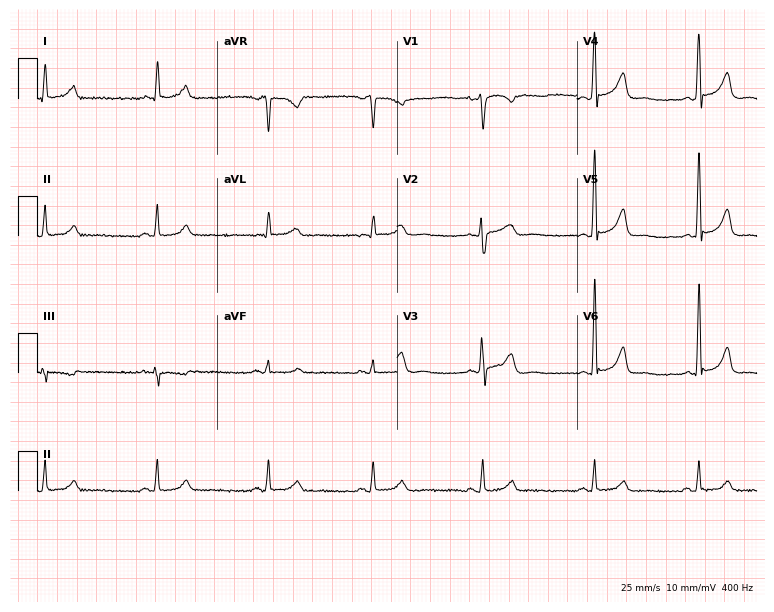
12-lead ECG from a female, 45 years old. Labelled as a normal ECG.